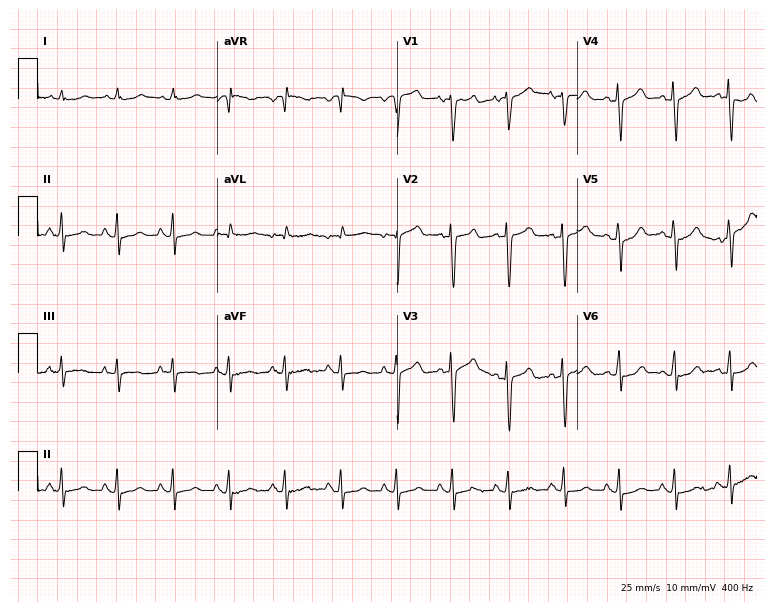
Electrocardiogram, an 87-year-old male patient. Overall reading on record: normal ECG.